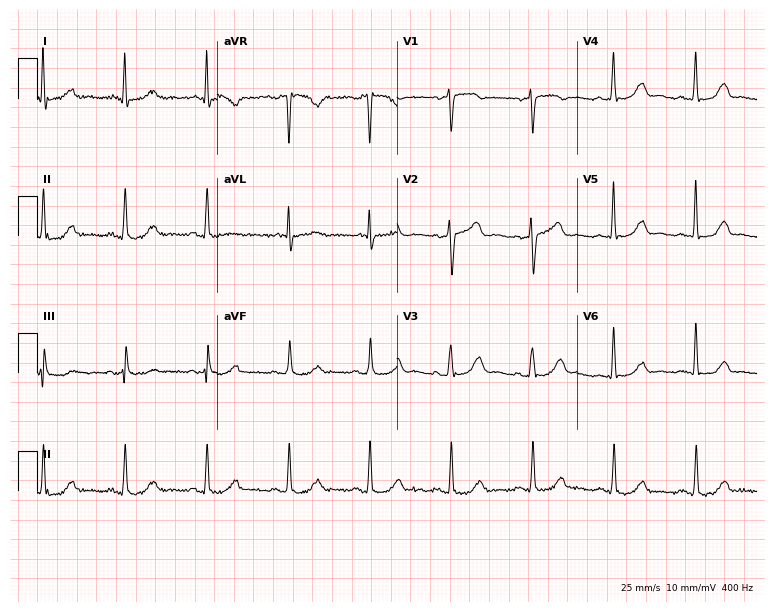
12-lead ECG from a woman, 61 years old. Recorded interpretation: within normal limits.